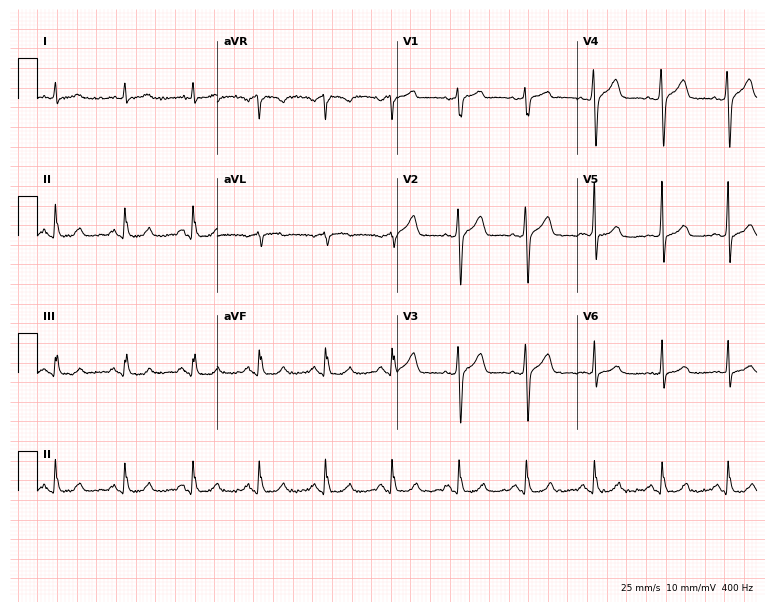
Resting 12-lead electrocardiogram. Patient: a male, 51 years old. None of these six findings is recorded: first-degree AV block, right bundle branch block, left bundle branch block, sinus bradycardia, atrial fibrillation, sinus tachycardia.